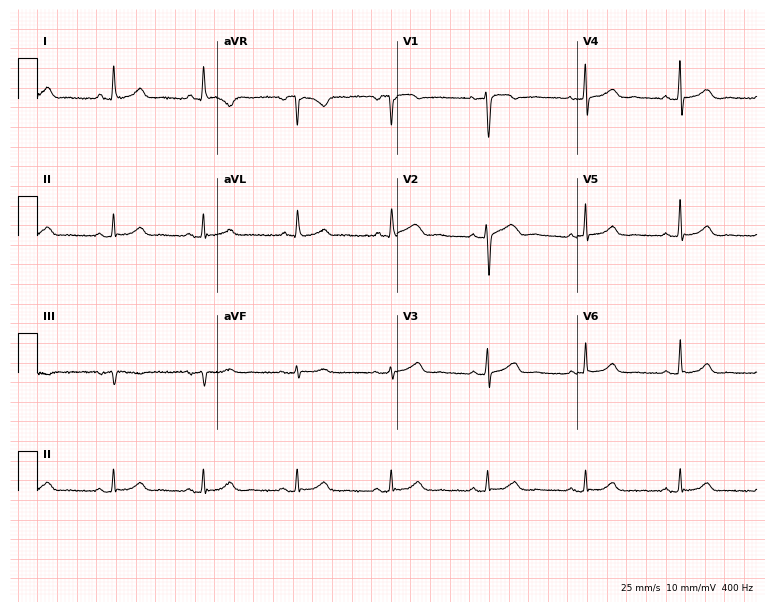
Resting 12-lead electrocardiogram (7.3-second recording at 400 Hz). Patient: a female, 58 years old. Read as a normal ECG.